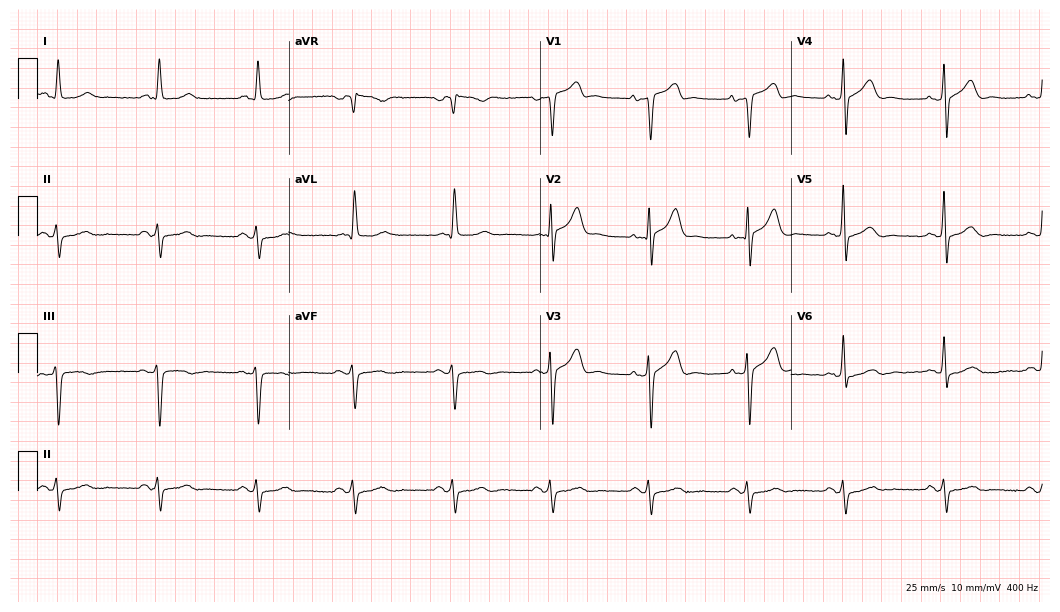
ECG — a male patient, 75 years old. Screened for six findings — first-degree AV block, right bundle branch block, left bundle branch block, sinus bradycardia, atrial fibrillation, sinus tachycardia — none is recorded.